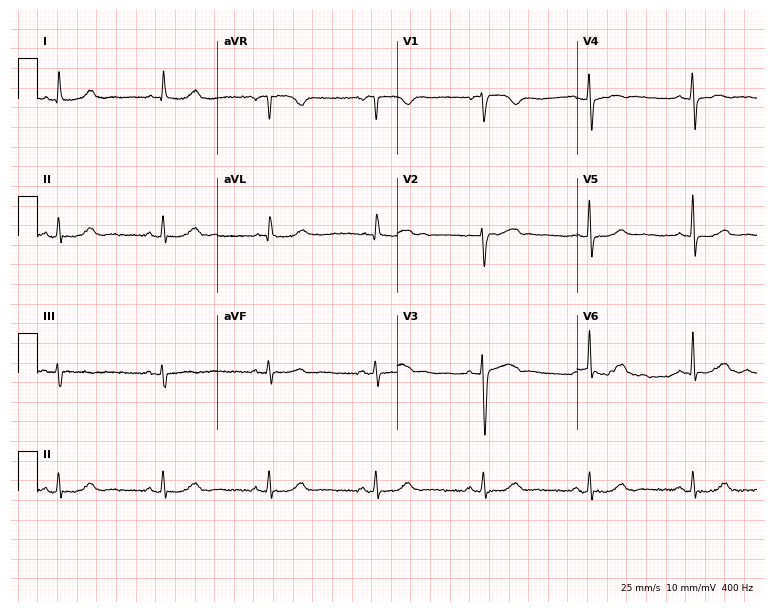
Electrocardiogram, a 75-year-old female patient. Overall reading on record: normal ECG.